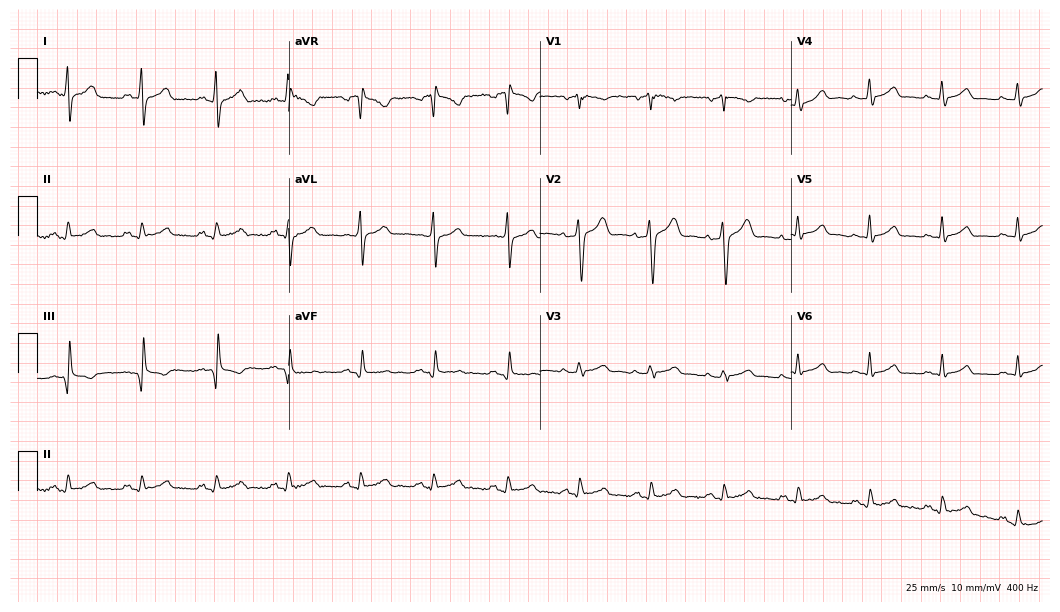
Standard 12-lead ECG recorded from a male patient, 26 years old (10.2-second recording at 400 Hz). Read as a normal ECG.